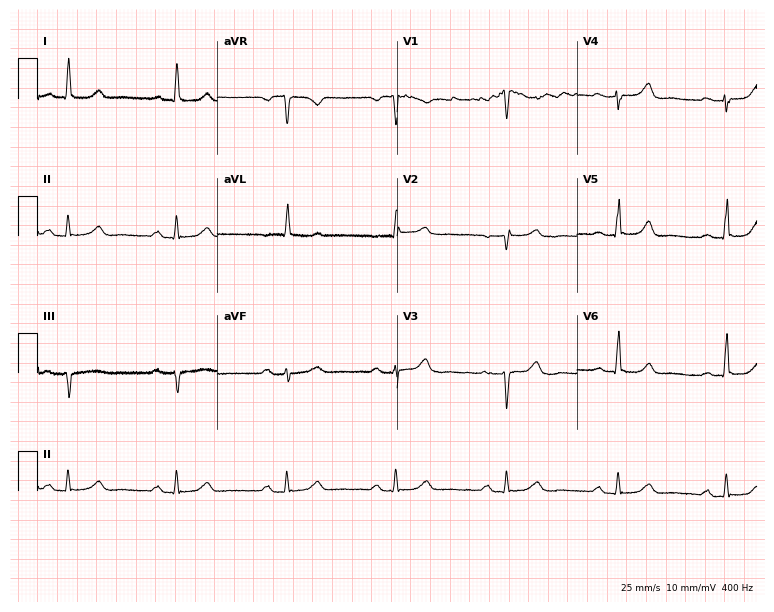
ECG (7.3-second recording at 400 Hz) — a woman, 79 years old. Findings include first-degree AV block.